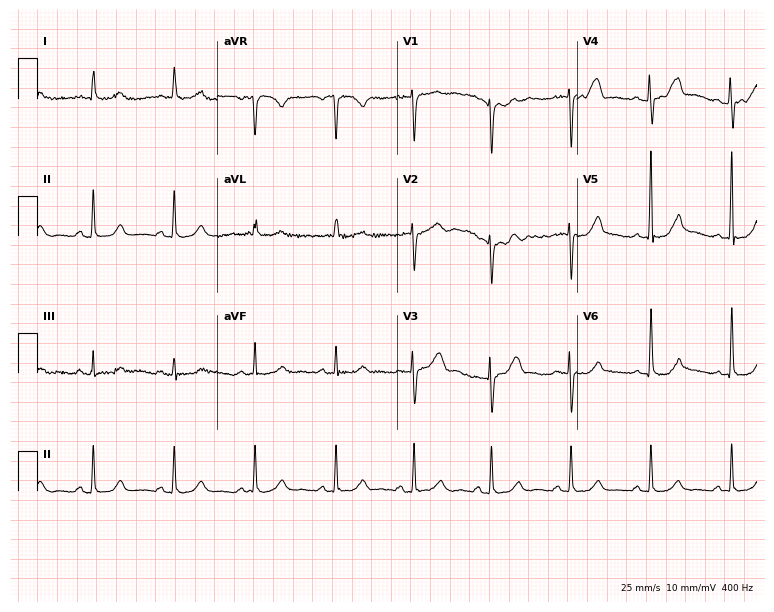
Electrocardiogram (7.3-second recording at 400 Hz), a 43-year-old female. Of the six screened findings (first-degree AV block, right bundle branch block (RBBB), left bundle branch block (LBBB), sinus bradycardia, atrial fibrillation (AF), sinus tachycardia), none is recorded.